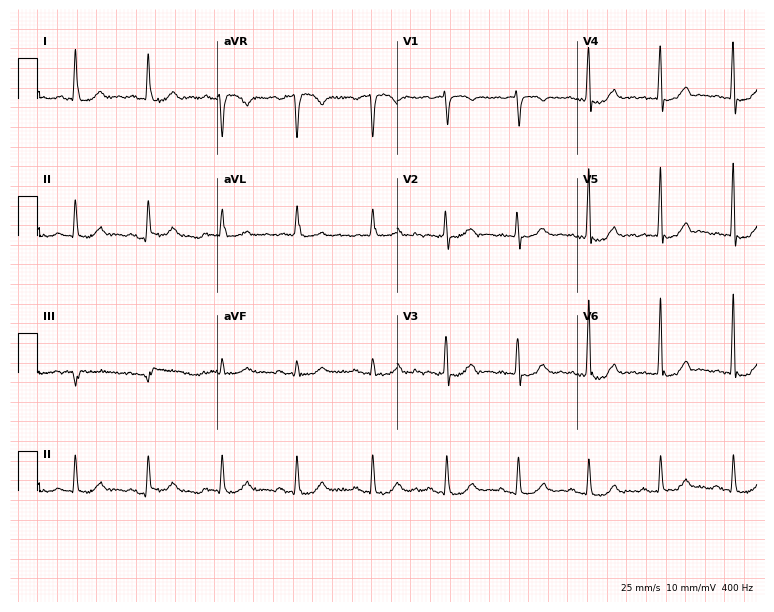
Electrocardiogram (7.3-second recording at 400 Hz), a female, 85 years old. Of the six screened findings (first-degree AV block, right bundle branch block, left bundle branch block, sinus bradycardia, atrial fibrillation, sinus tachycardia), none is recorded.